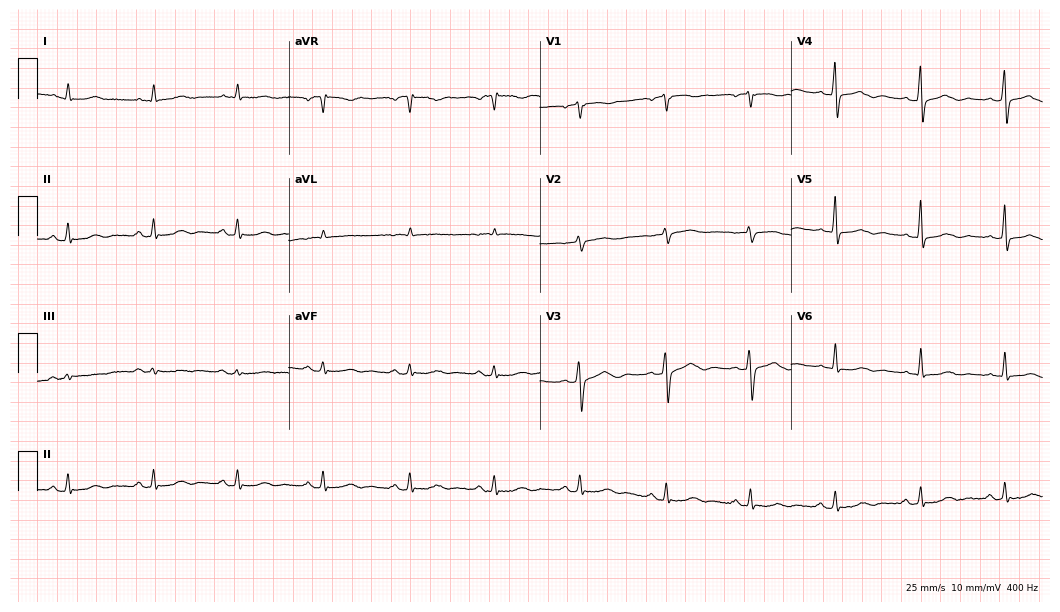
Standard 12-lead ECG recorded from a female patient, 81 years old. None of these six findings is recorded: first-degree AV block, right bundle branch block (RBBB), left bundle branch block (LBBB), sinus bradycardia, atrial fibrillation (AF), sinus tachycardia. Other findings, if any, are not listed.